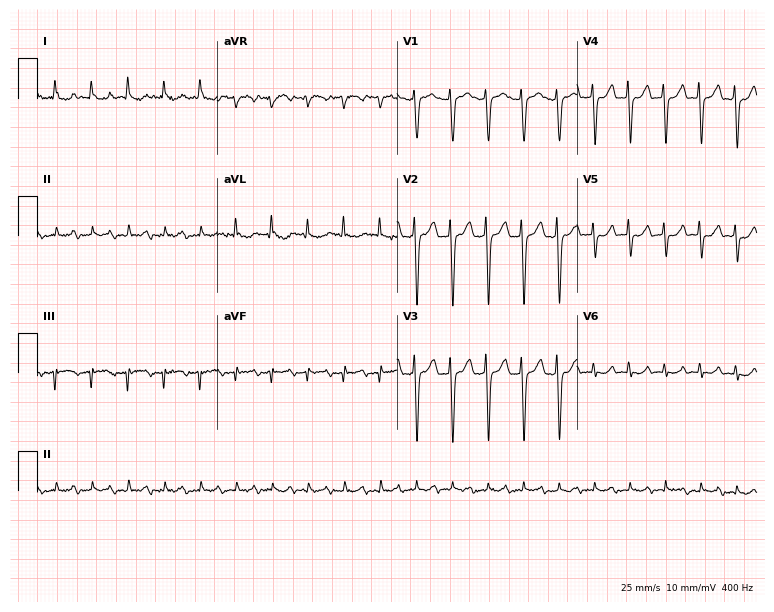
ECG (7.3-second recording at 400 Hz) — a 64-year-old female patient. Findings include sinus tachycardia (a sinus rate of 100 beats per minute or more).